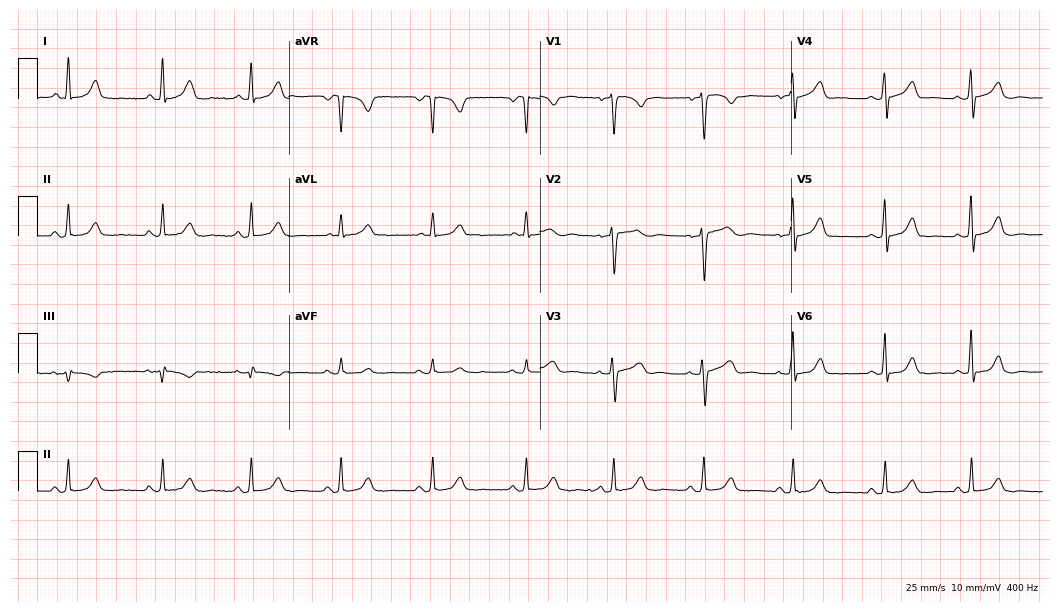
Resting 12-lead electrocardiogram (10.2-second recording at 400 Hz). Patient: a woman, 50 years old. None of these six findings is recorded: first-degree AV block, right bundle branch block, left bundle branch block, sinus bradycardia, atrial fibrillation, sinus tachycardia. Findings outside these six are not listed.